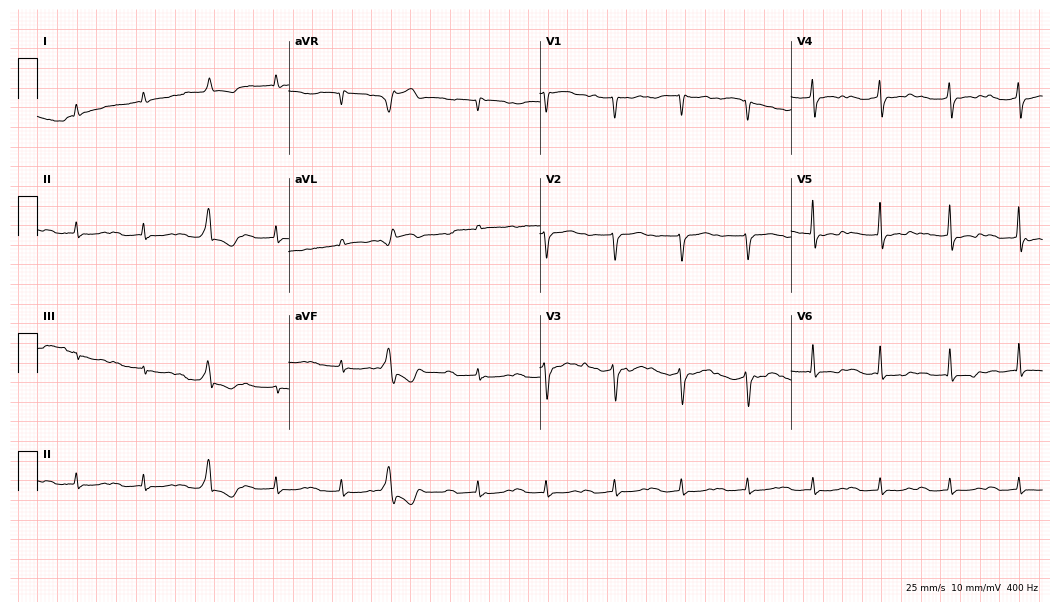
12-lead ECG (10.2-second recording at 400 Hz) from a 76-year-old male. Findings include first-degree AV block.